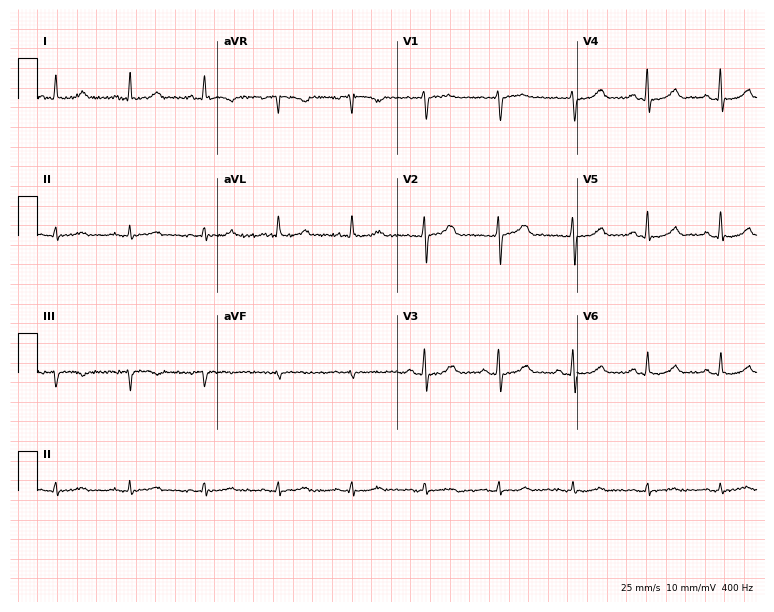
Resting 12-lead electrocardiogram (7.3-second recording at 400 Hz). Patient: a female, 63 years old. Read as a normal ECG.